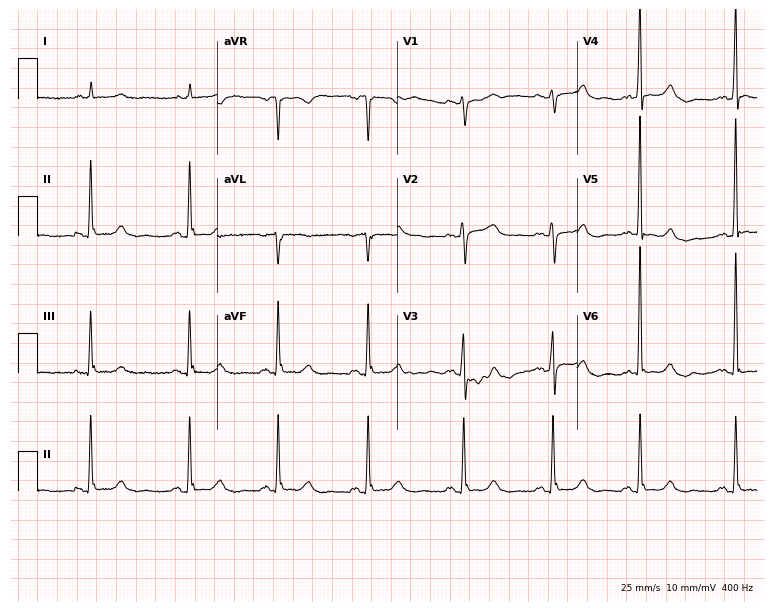
Resting 12-lead electrocardiogram (7.3-second recording at 400 Hz). Patient: a female, 57 years old. Read as a normal ECG.